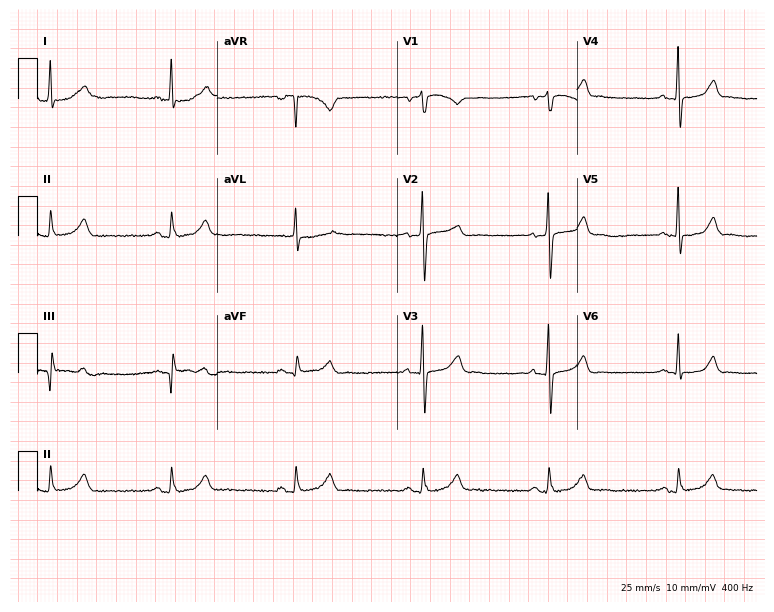
12-lead ECG from a male patient, 37 years old. Findings include sinus bradycardia (a sinus rate of 50 beats per minute or less).